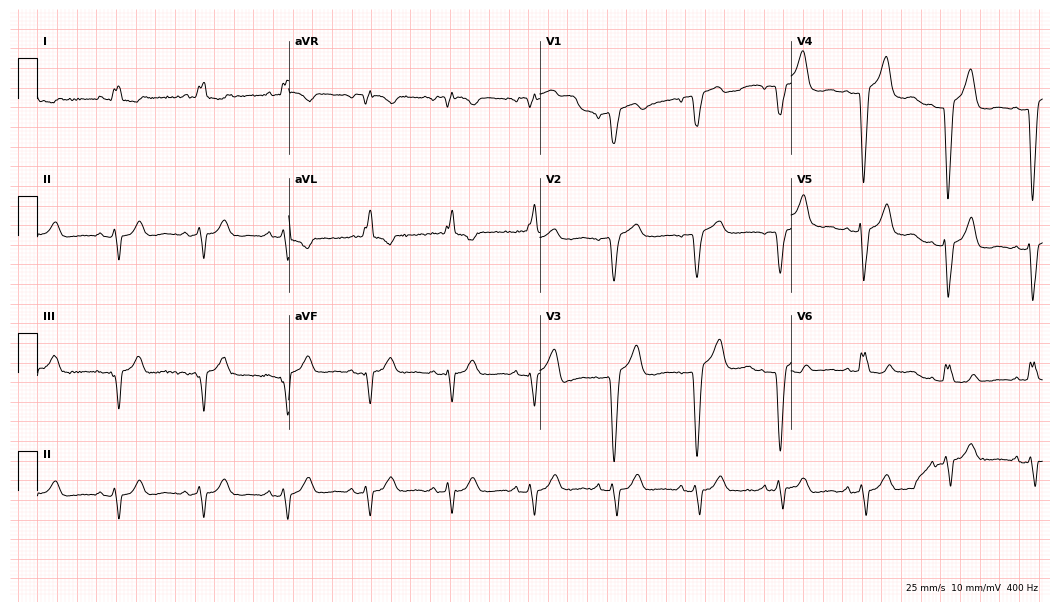
Electrocardiogram (10.2-second recording at 400 Hz), a 73-year-old woman. Interpretation includes left bundle branch block.